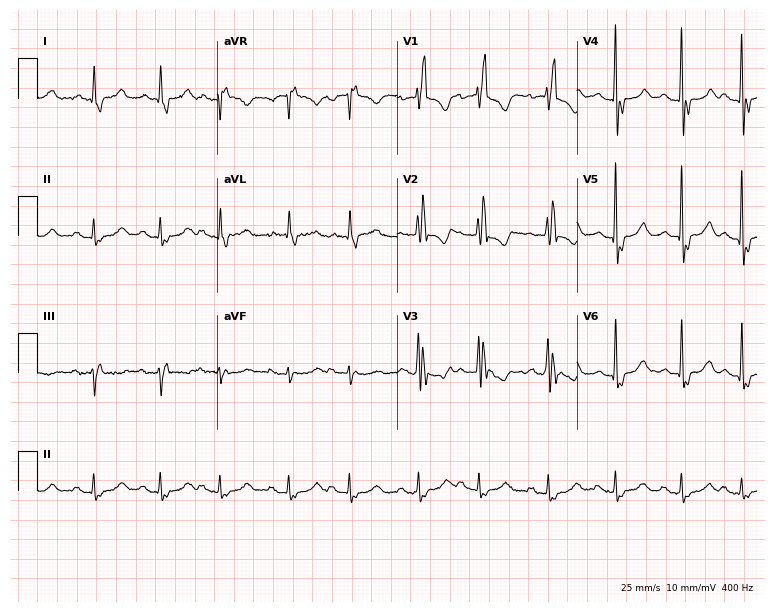
ECG (7.3-second recording at 400 Hz) — a female patient, 79 years old. Findings include right bundle branch block.